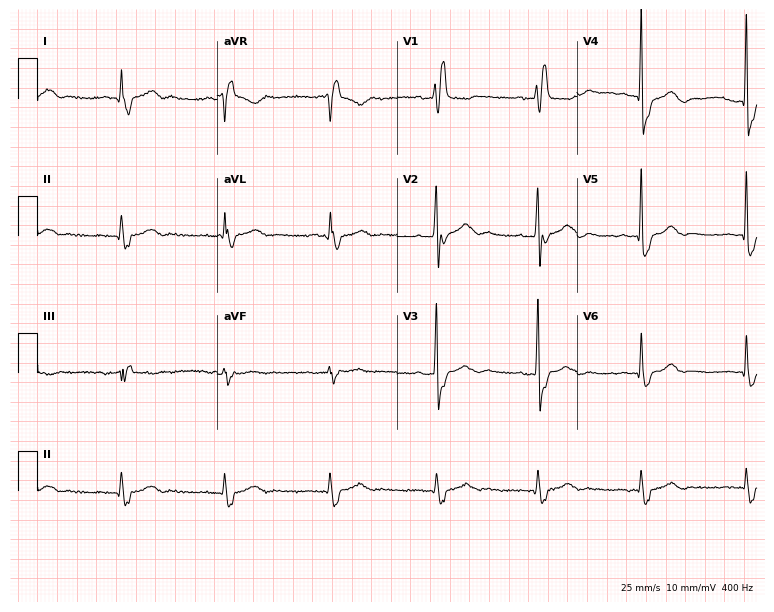
Standard 12-lead ECG recorded from a 68-year-old male patient (7.3-second recording at 400 Hz). The tracing shows right bundle branch block (RBBB).